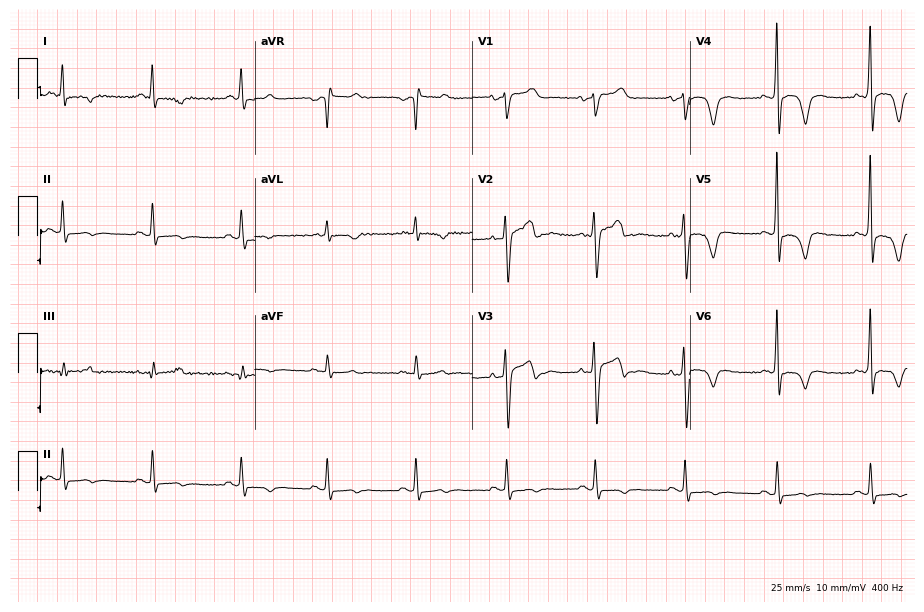
Standard 12-lead ECG recorded from a male, 48 years old. None of these six findings is recorded: first-degree AV block, right bundle branch block, left bundle branch block, sinus bradycardia, atrial fibrillation, sinus tachycardia. Other findings, if any, are not listed.